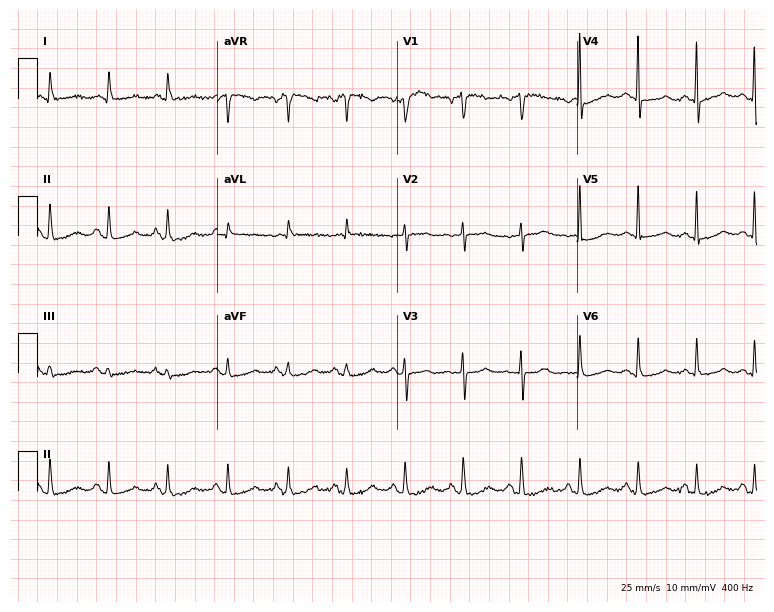
12-lead ECG from a woman, 85 years old (7.3-second recording at 400 Hz). No first-degree AV block, right bundle branch block (RBBB), left bundle branch block (LBBB), sinus bradycardia, atrial fibrillation (AF) or sinus tachycardia recorded for this tracing.